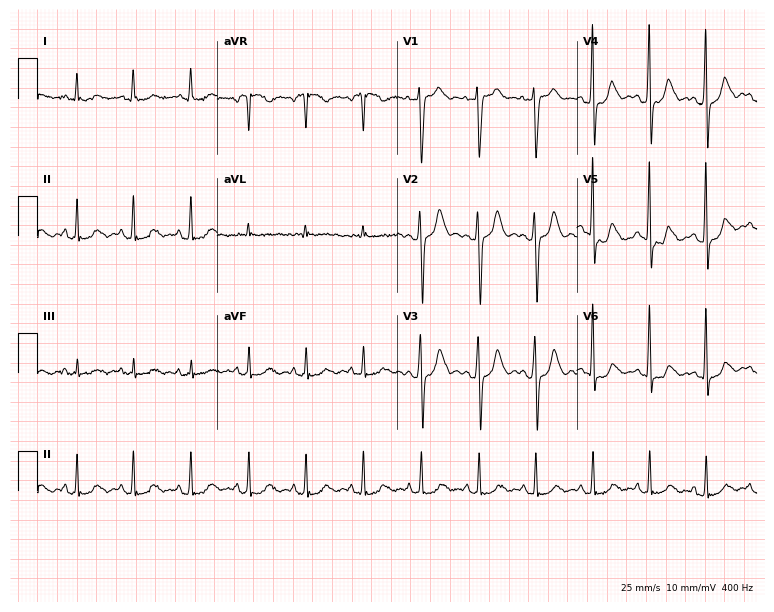
12-lead ECG from a 42-year-old female. Shows sinus tachycardia (a sinus rate of 100 beats per minute or more).